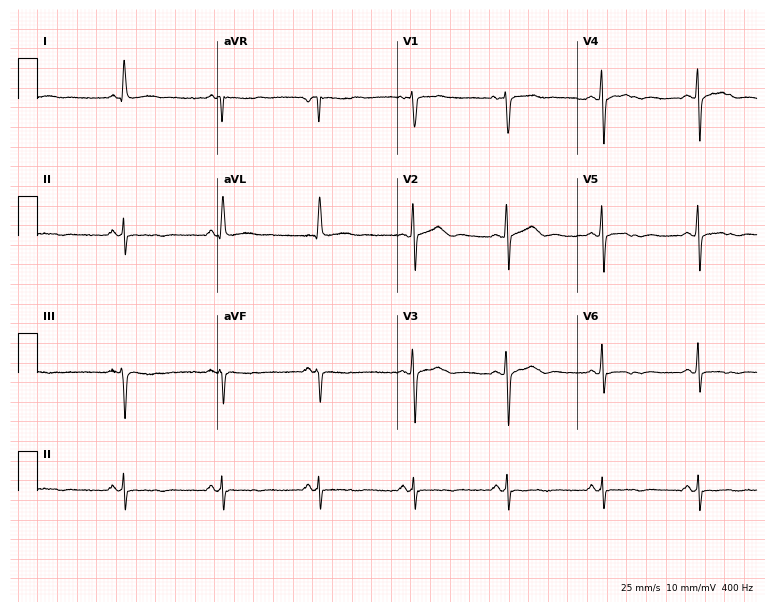
12-lead ECG from a 56-year-old female patient (7.3-second recording at 400 Hz). No first-degree AV block, right bundle branch block, left bundle branch block, sinus bradycardia, atrial fibrillation or sinus tachycardia recorded for this tracing.